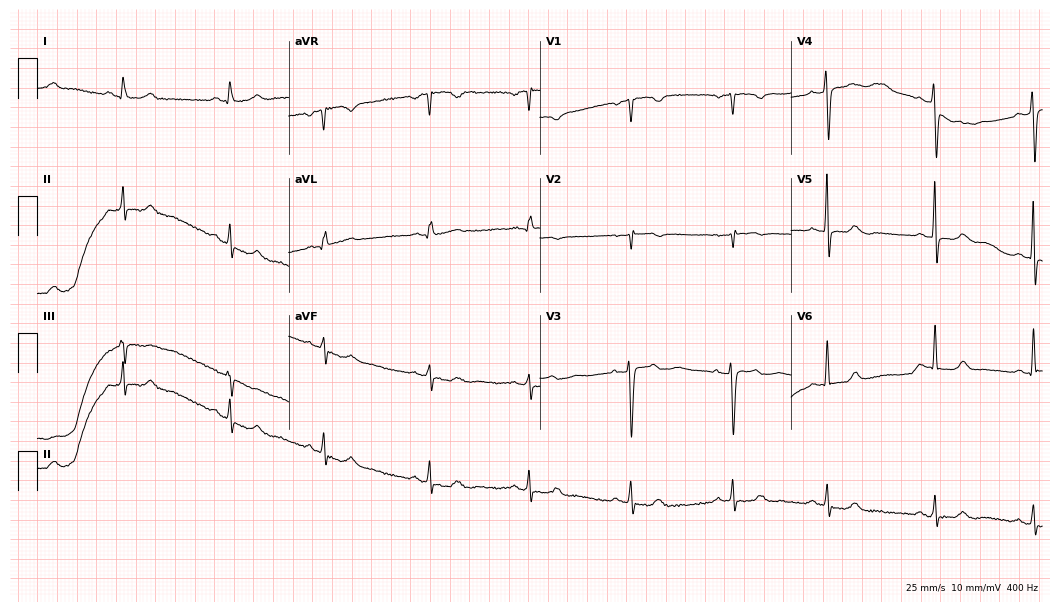
Electrocardiogram (10.2-second recording at 400 Hz), a 32-year-old woman. Overall reading on record: normal ECG.